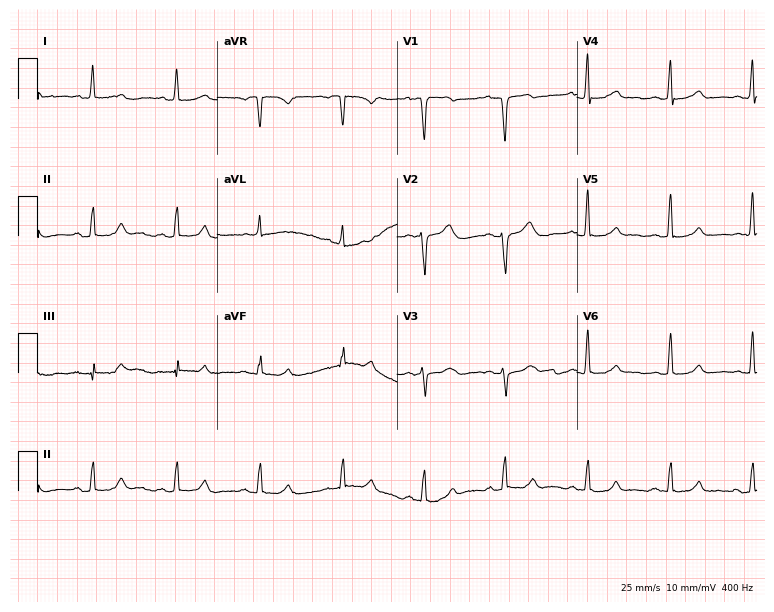
12-lead ECG from a female patient, 55 years old. Labelled as a normal ECG.